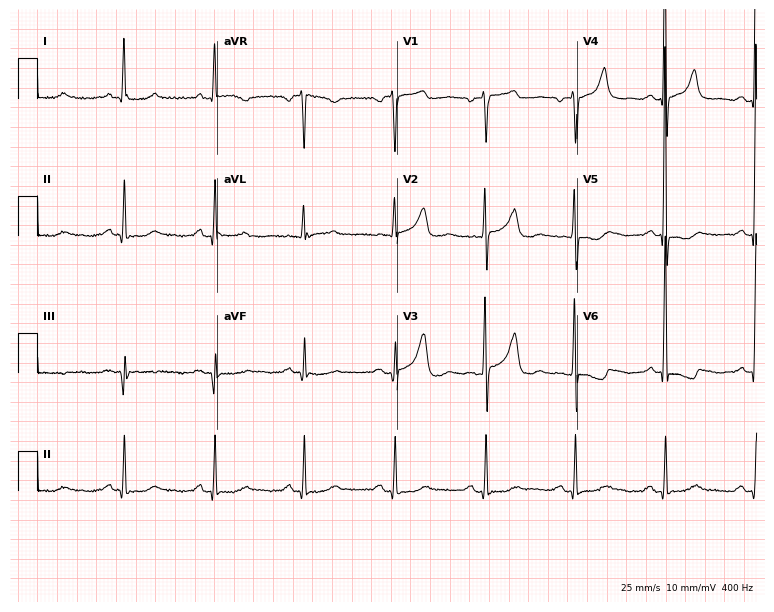
Electrocardiogram, a male patient, 83 years old. Of the six screened findings (first-degree AV block, right bundle branch block (RBBB), left bundle branch block (LBBB), sinus bradycardia, atrial fibrillation (AF), sinus tachycardia), none is recorded.